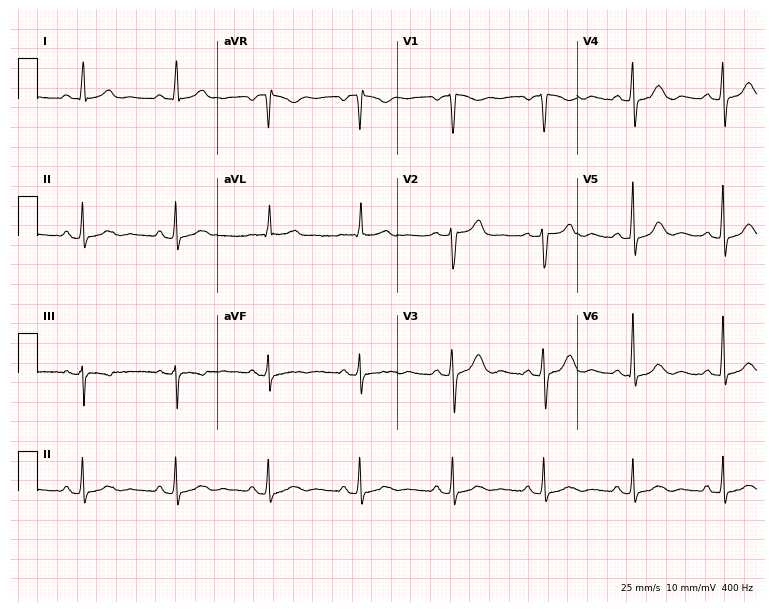
Electrocardiogram, a 64-year-old female. Overall reading on record: normal ECG.